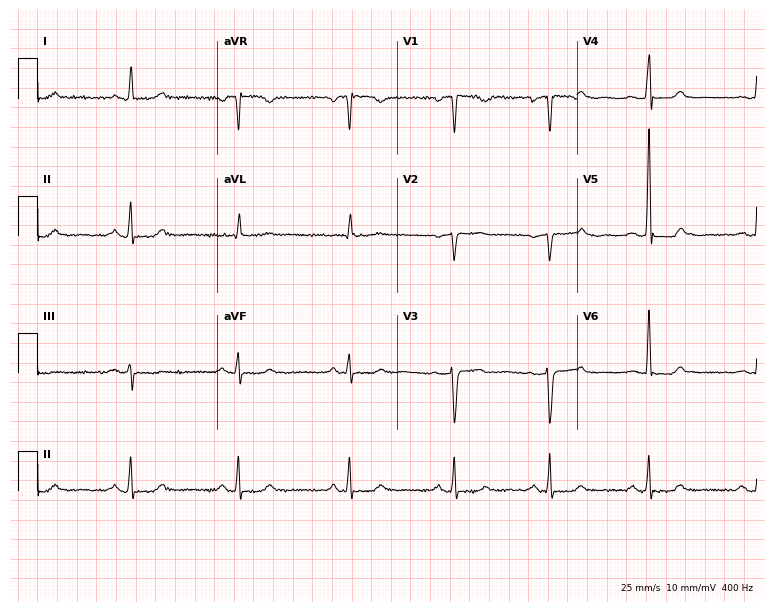
Standard 12-lead ECG recorded from a woman, 46 years old (7.3-second recording at 400 Hz). None of these six findings is recorded: first-degree AV block, right bundle branch block (RBBB), left bundle branch block (LBBB), sinus bradycardia, atrial fibrillation (AF), sinus tachycardia. Other findings, if any, are not listed.